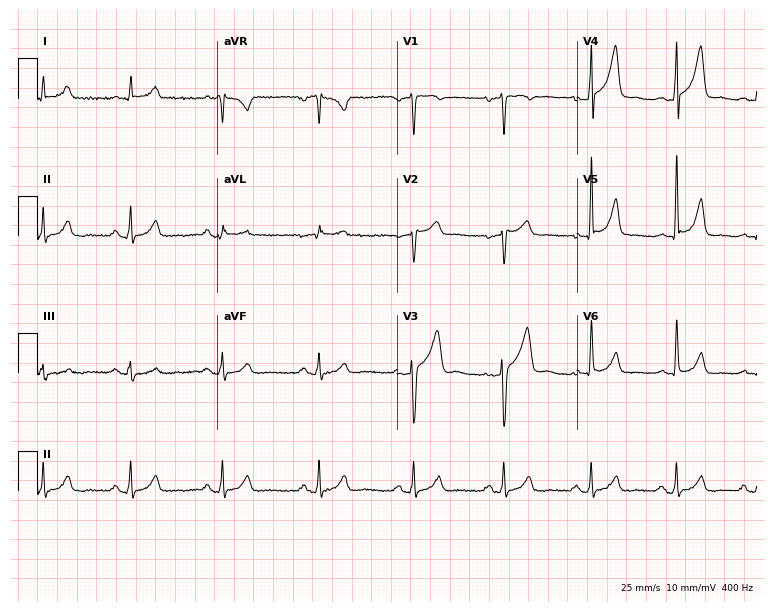
12-lead ECG (7.3-second recording at 400 Hz) from a 38-year-old male patient. Labelled as a normal ECG.